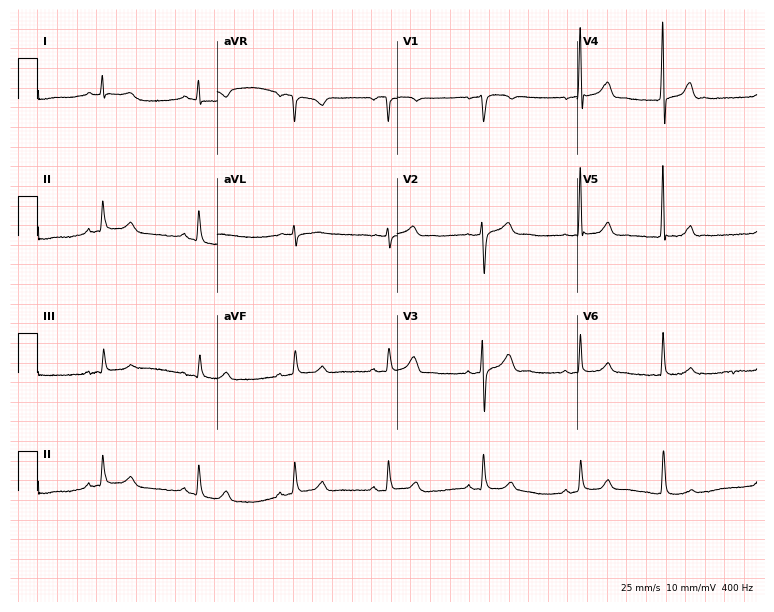
Standard 12-lead ECG recorded from a 68-year-old man (7.3-second recording at 400 Hz). Read as a normal ECG.